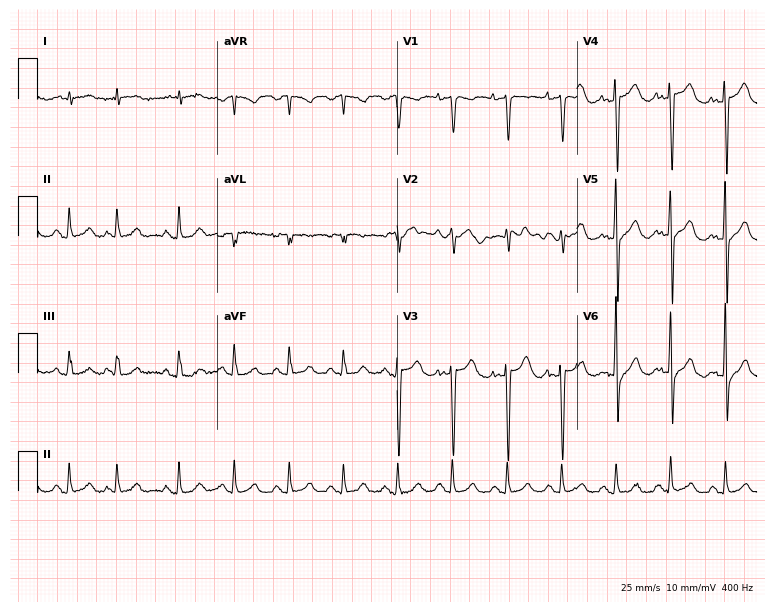
Standard 12-lead ECG recorded from a 75-year-old male (7.3-second recording at 400 Hz). The tracing shows sinus tachycardia (a sinus rate of 100 beats per minute or more).